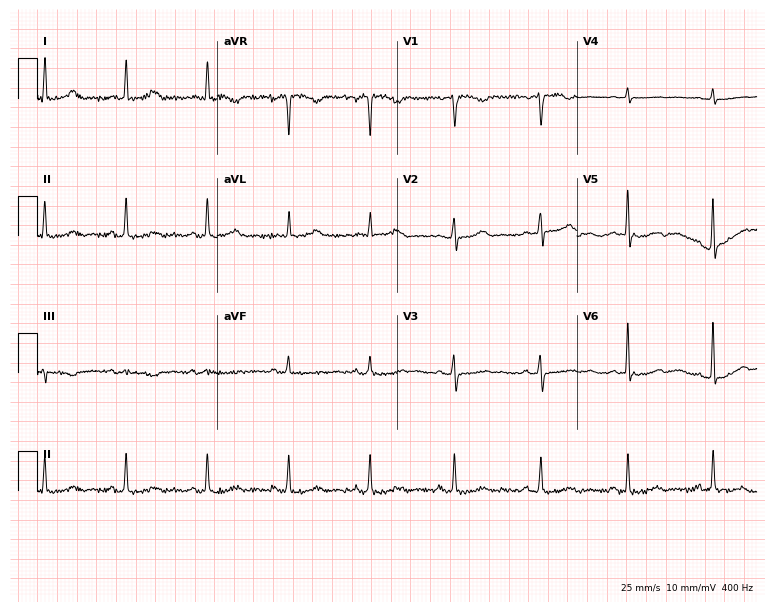
Standard 12-lead ECG recorded from a 69-year-old female. None of these six findings is recorded: first-degree AV block, right bundle branch block, left bundle branch block, sinus bradycardia, atrial fibrillation, sinus tachycardia. Only these six findings were labelled.